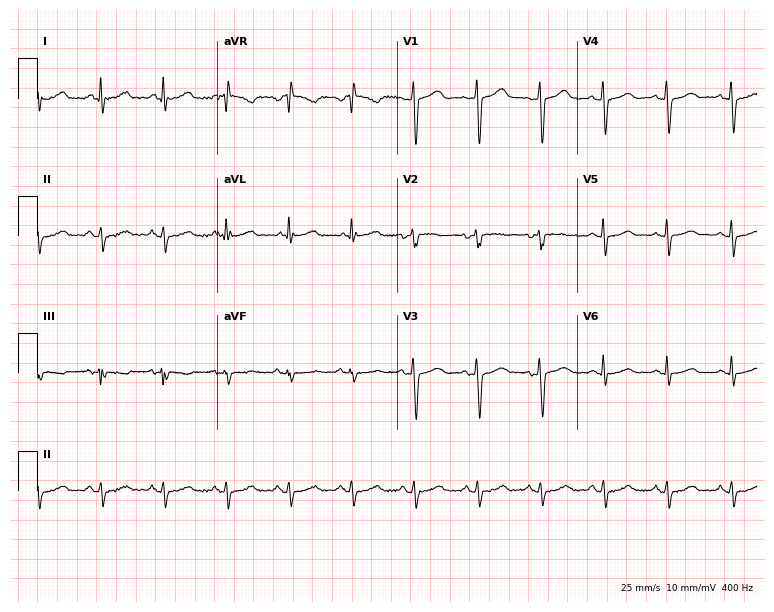
Resting 12-lead electrocardiogram. Patient: a woman, 67 years old. None of these six findings is recorded: first-degree AV block, right bundle branch block (RBBB), left bundle branch block (LBBB), sinus bradycardia, atrial fibrillation (AF), sinus tachycardia. Findings outside these six are not listed.